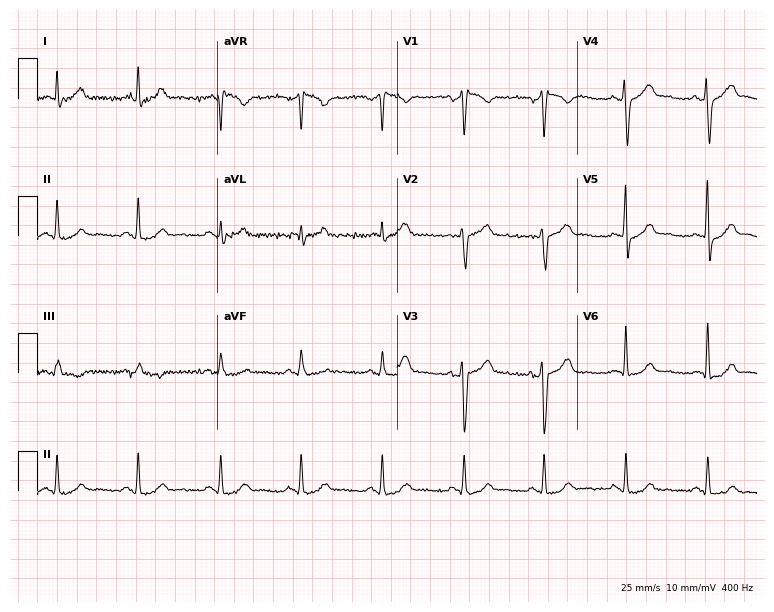
12-lead ECG from a male, 44 years old. Recorded interpretation: within normal limits.